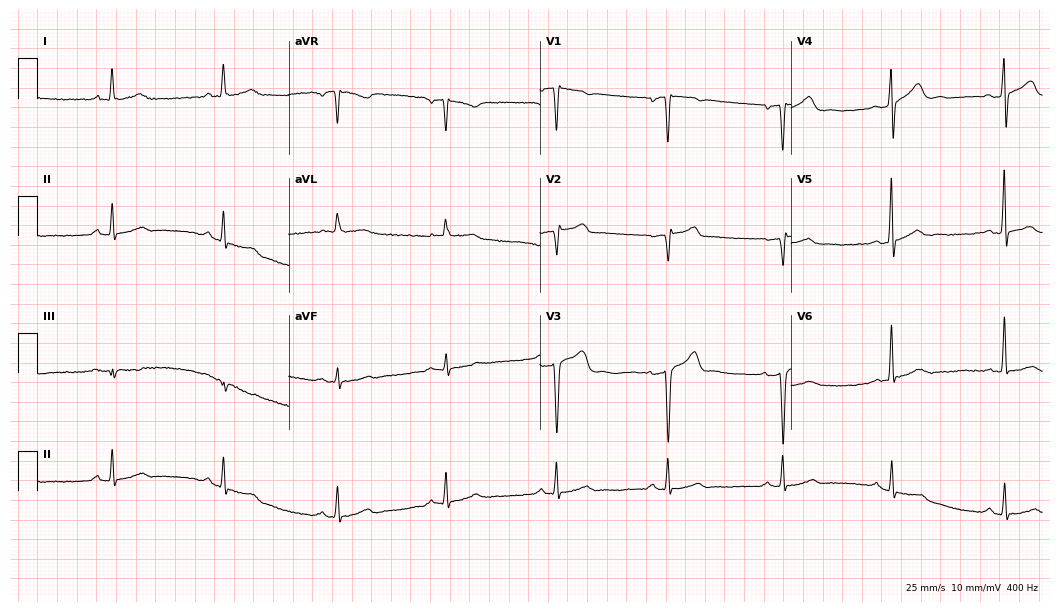
12-lead ECG from a 48-year-old man (10.2-second recording at 400 Hz). Recorded interpretation: within normal limits.